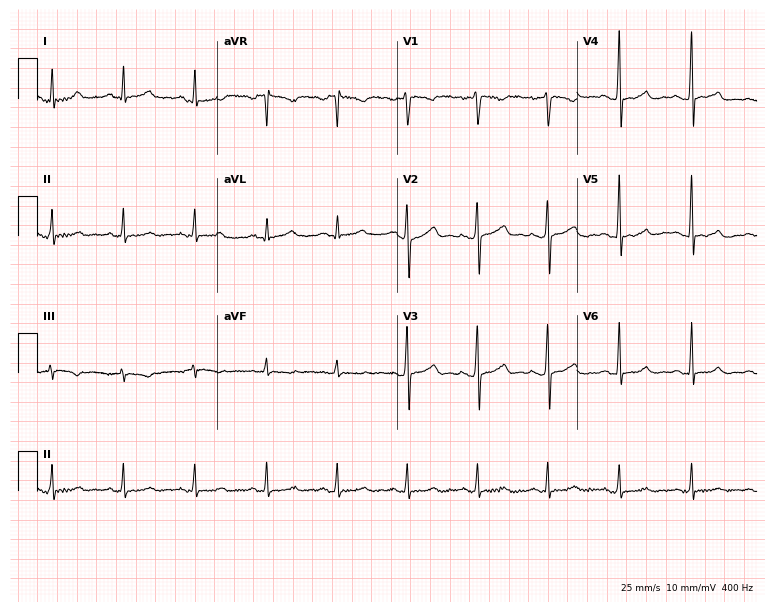
Resting 12-lead electrocardiogram (7.3-second recording at 400 Hz). Patient: a 40-year-old female. None of these six findings is recorded: first-degree AV block, right bundle branch block (RBBB), left bundle branch block (LBBB), sinus bradycardia, atrial fibrillation (AF), sinus tachycardia.